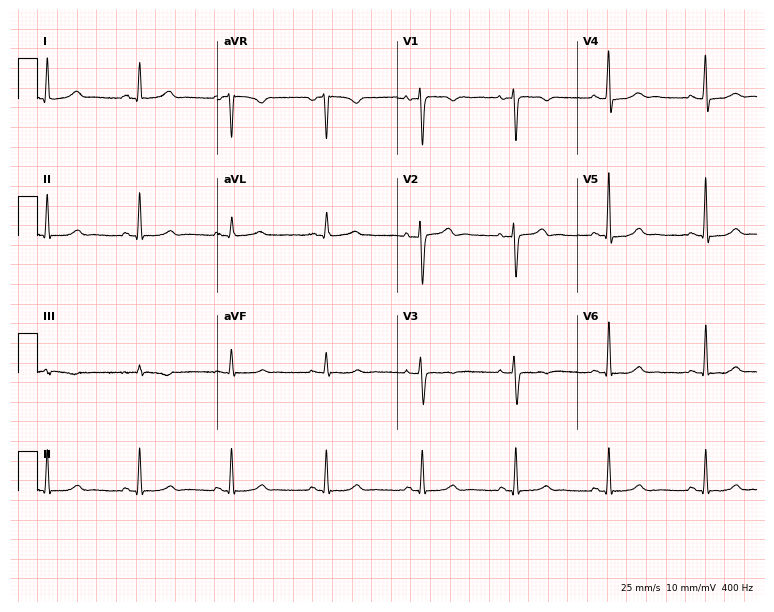
Electrocardiogram, a 38-year-old woman. Overall reading on record: normal ECG.